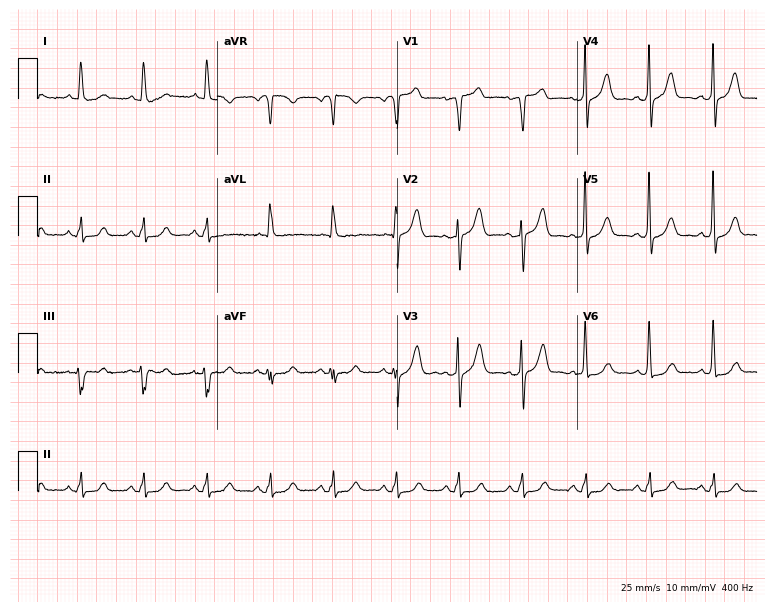
Electrocardiogram (7.3-second recording at 400 Hz), a 65-year-old man. Of the six screened findings (first-degree AV block, right bundle branch block (RBBB), left bundle branch block (LBBB), sinus bradycardia, atrial fibrillation (AF), sinus tachycardia), none is recorded. Other findings, if any, are not listed.